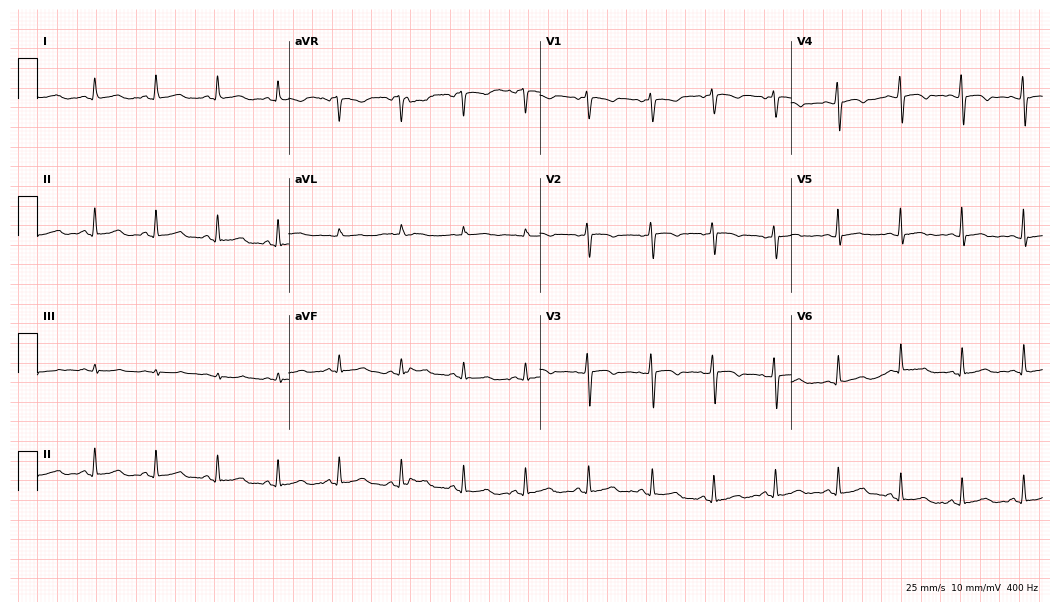
Standard 12-lead ECG recorded from a 22-year-old female (10.2-second recording at 400 Hz). None of these six findings is recorded: first-degree AV block, right bundle branch block (RBBB), left bundle branch block (LBBB), sinus bradycardia, atrial fibrillation (AF), sinus tachycardia.